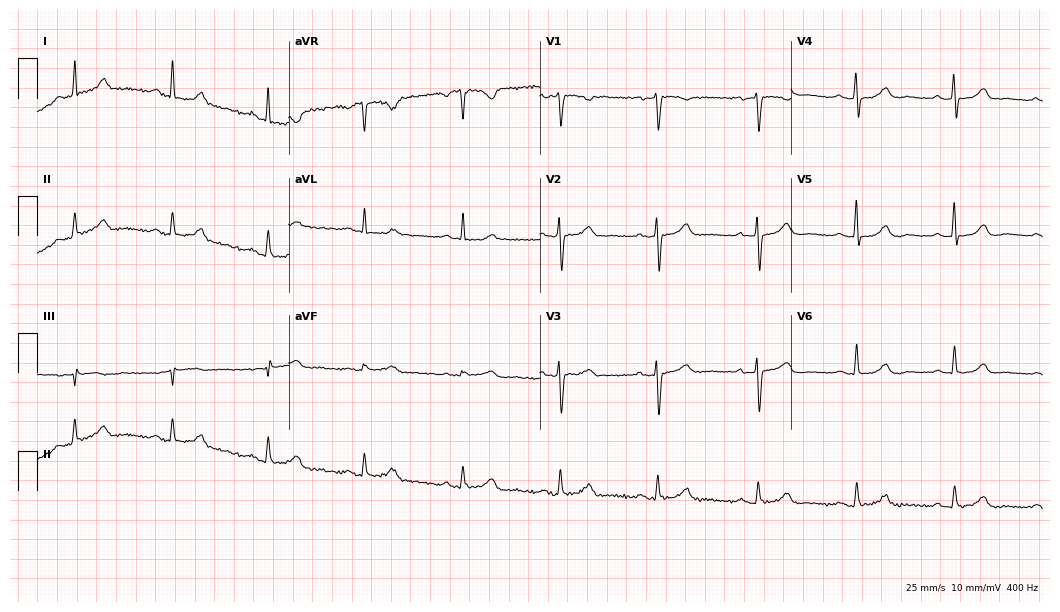
12-lead ECG from a female, 54 years old (10.2-second recording at 400 Hz). No first-degree AV block, right bundle branch block (RBBB), left bundle branch block (LBBB), sinus bradycardia, atrial fibrillation (AF) or sinus tachycardia recorded for this tracing. Only these six findings were labelled.